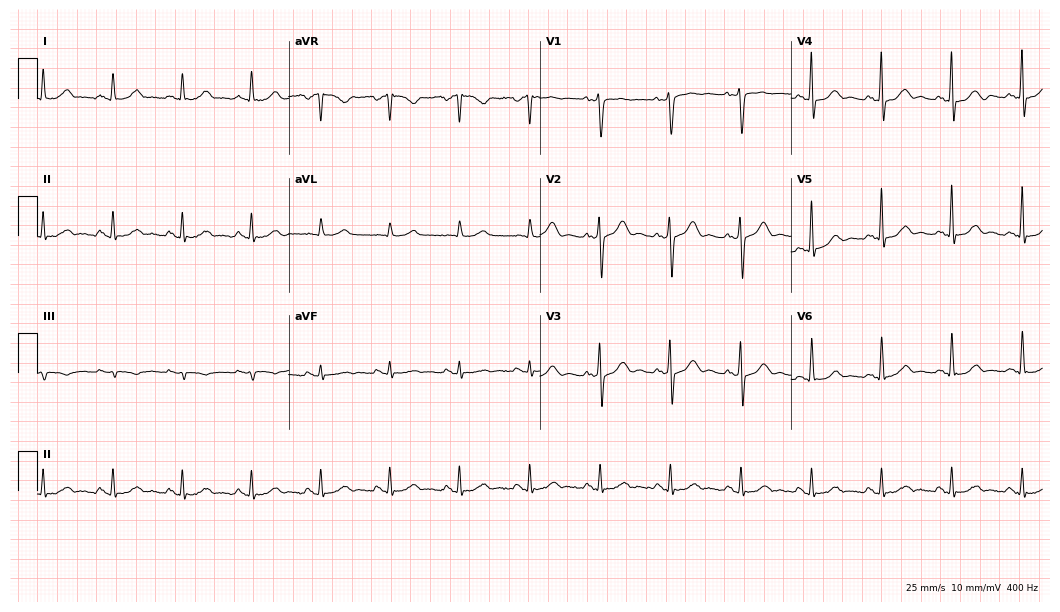
ECG — a 63-year-old male patient. Screened for six findings — first-degree AV block, right bundle branch block (RBBB), left bundle branch block (LBBB), sinus bradycardia, atrial fibrillation (AF), sinus tachycardia — none is recorded. Findings outside these six are not listed.